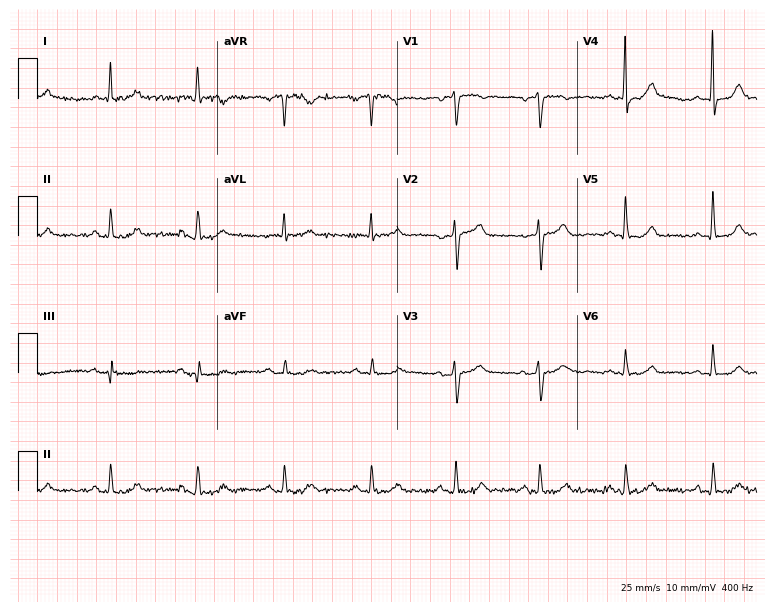
Electrocardiogram, a male patient, 61 years old. Overall reading on record: normal ECG.